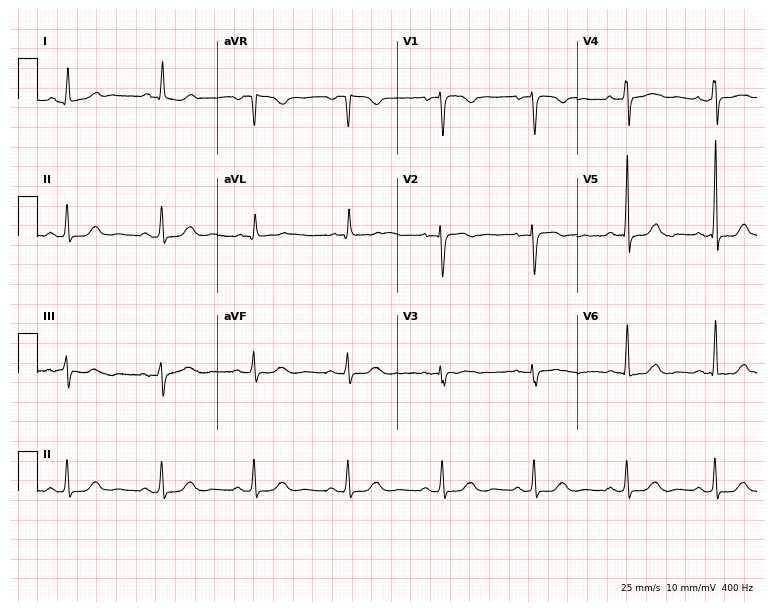
Electrocardiogram, a 59-year-old female patient. Overall reading on record: normal ECG.